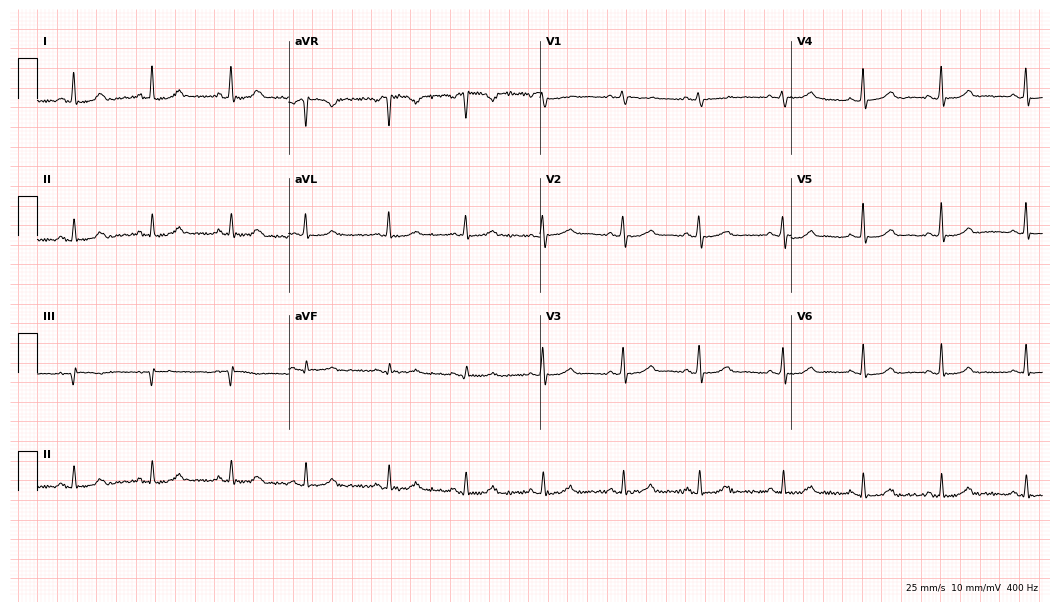
ECG — a woman, 40 years old. Labelled as a normal ECG.